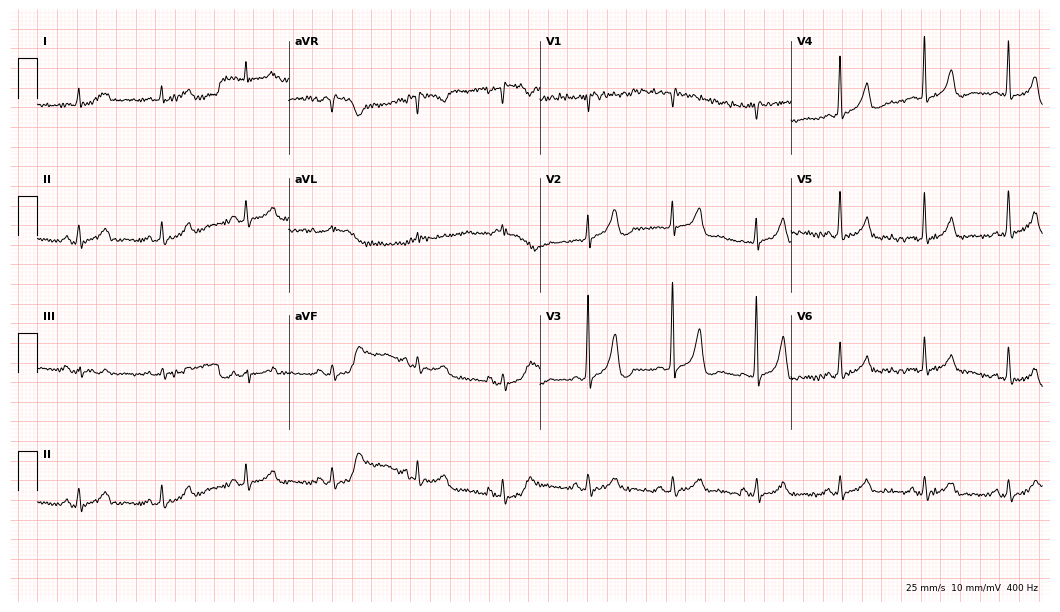
Standard 12-lead ECG recorded from a 67-year-old male patient (10.2-second recording at 400 Hz). Read as a normal ECG.